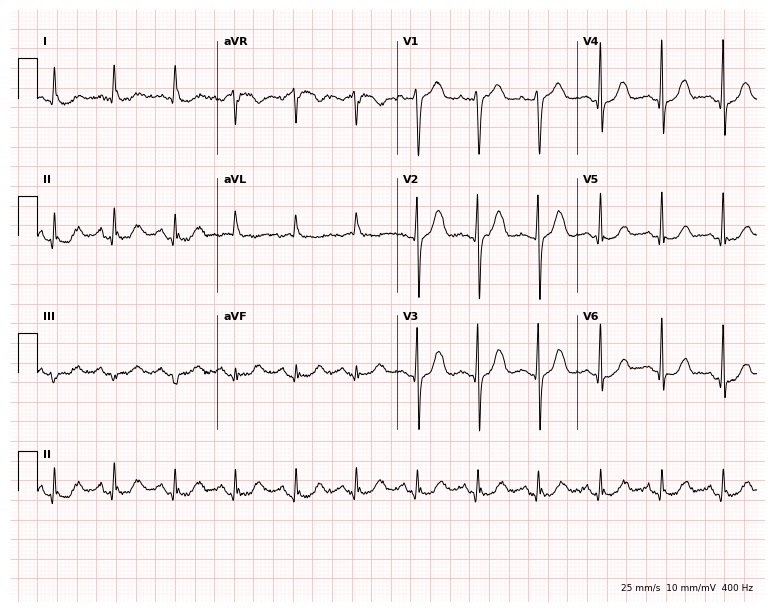
ECG (7.3-second recording at 400 Hz) — a woman, 78 years old. Screened for six findings — first-degree AV block, right bundle branch block, left bundle branch block, sinus bradycardia, atrial fibrillation, sinus tachycardia — none is recorded. Only these six findings were labelled.